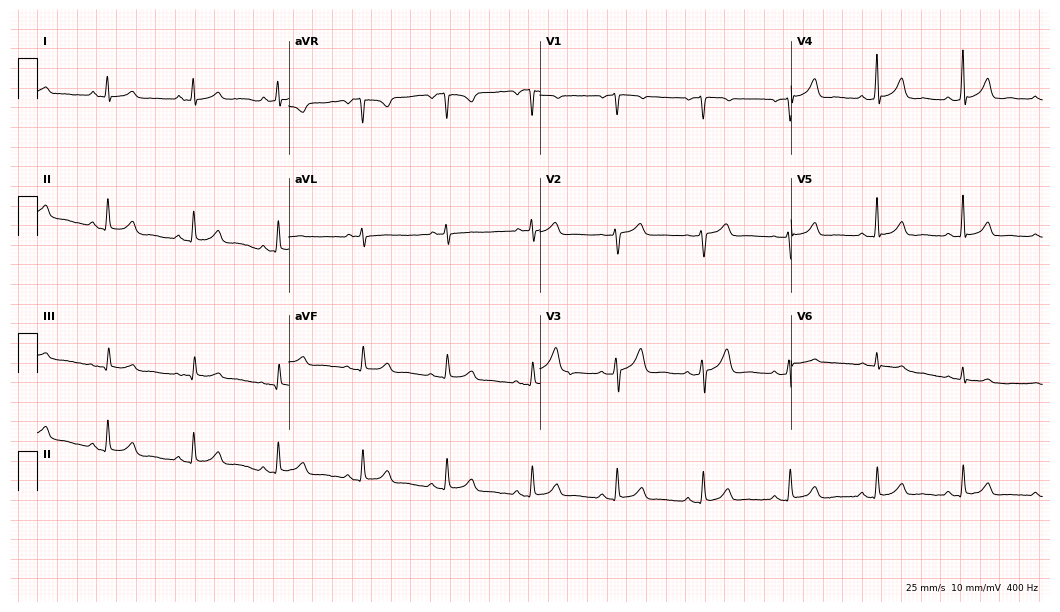
12-lead ECG from a 66-year-old male (10.2-second recording at 400 Hz). Recorded interpretation: within normal limits.